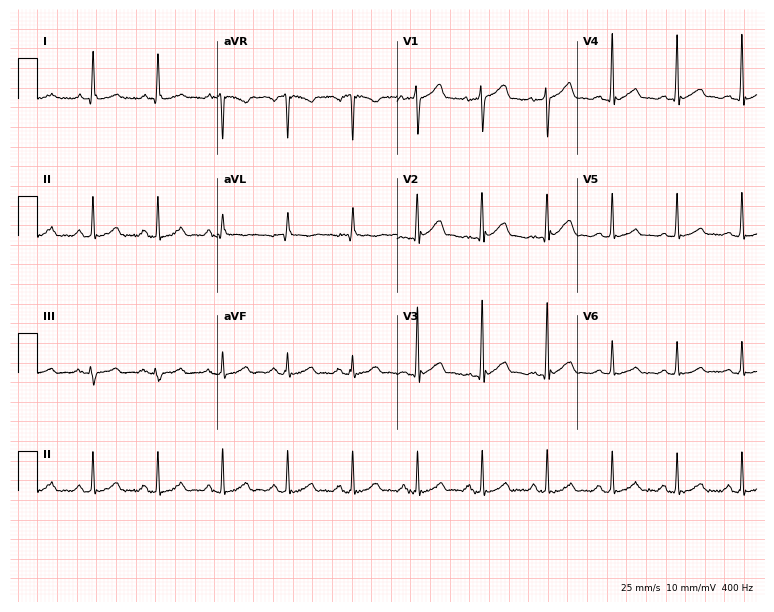
Resting 12-lead electrocardiogram. Patient: a 43-year-old male. None of these six findings is recorded: first-degree AV block, right bundle branch block, left bundle branch block, sinus bradycardia, atrial fibrillation, sinus tachycardia.